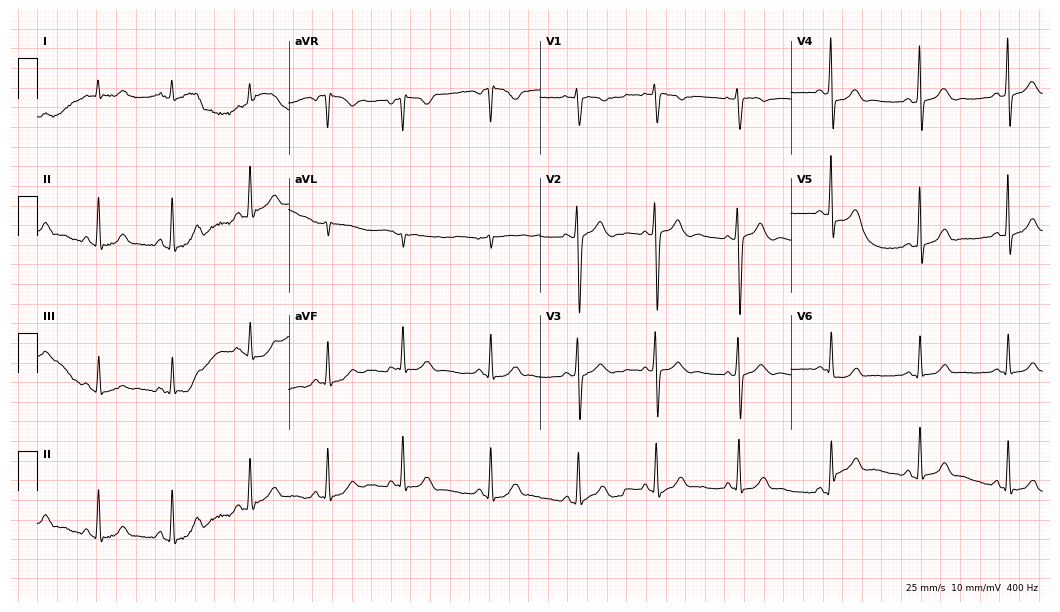
ECG (10.2-second recording at 400 Hz) — a woman, 19 years old. Labelled as a normal ECG.